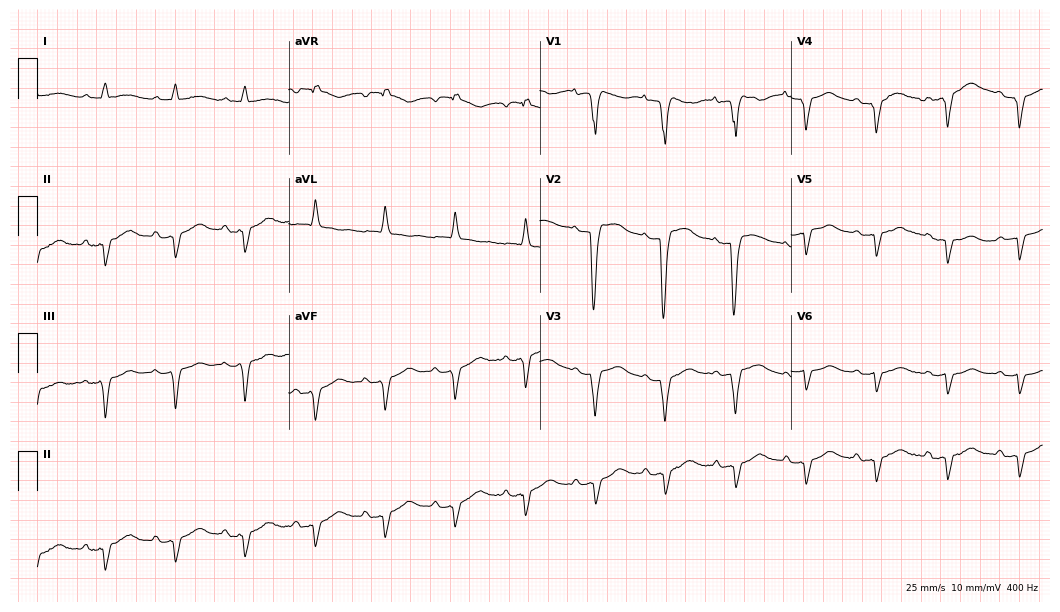
ECG — a 73-year-old female patient. Screened for six findings — first-degree AV block, right bundle branch block (RBBB), left bundle branch block (LBBB), sinus bradycardia, atrial fibrillation (AF), sinus tachycardia — none is recorded. Findings outside these six are not listed.